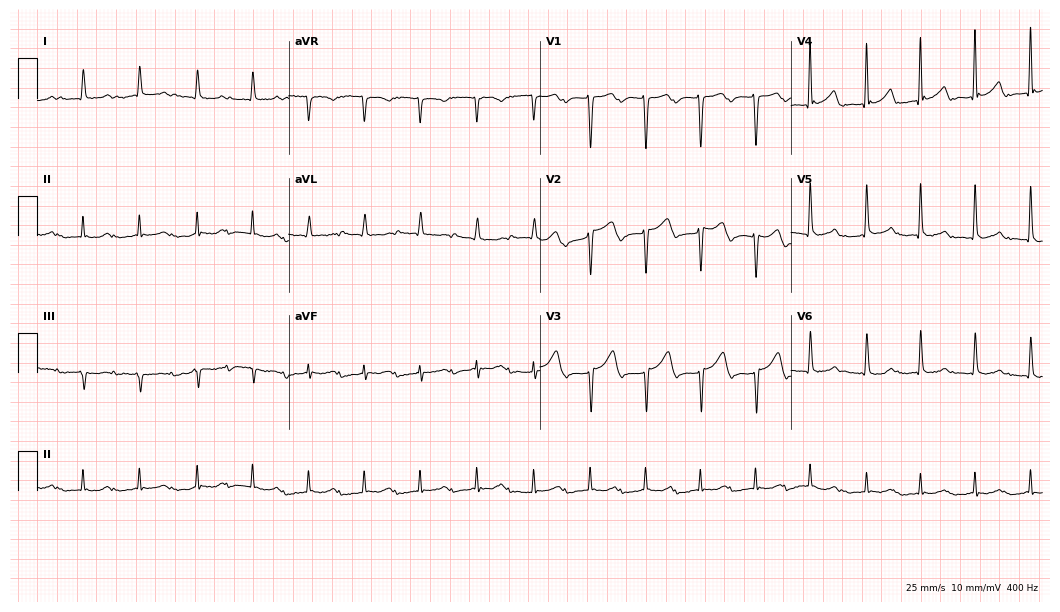
12-lead ECG from a female, 78 years old. No first-degree AV block, right bundle branch block, left bundle branch block, sinus bradycardia, atrial fibrillation or sinus tachycardia recorded for this tracing. Only these six findings were labelled.